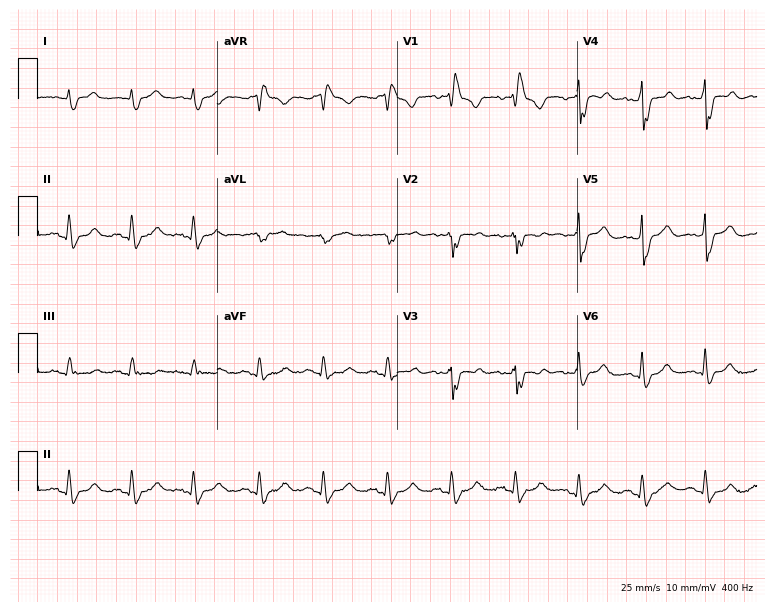
12-lead ECG from a 69-year-old male patient (7.3-second recording at 400 Hz). Shows right bundle branch block.